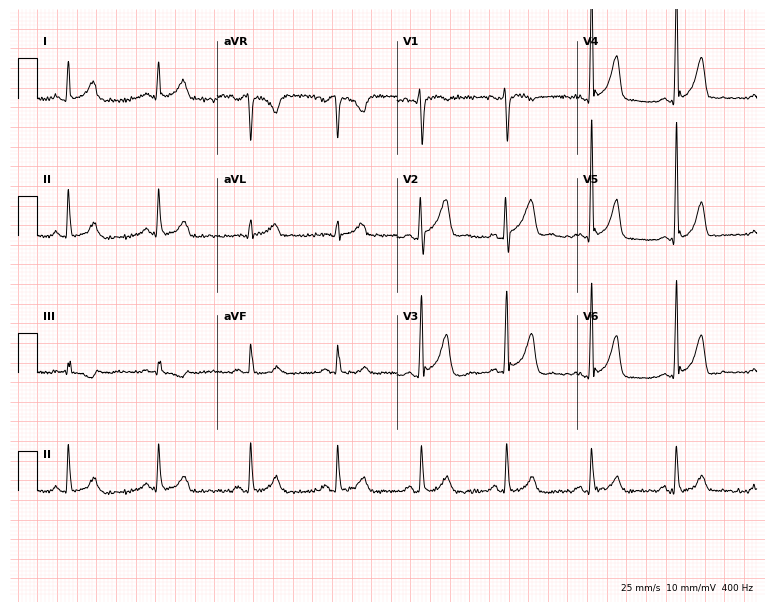
Resting 12-lead electrocardiogram. Patient: a man, 26 years old. None of these six findings is recorded: first-degree AV block, right bundle branch block, left bundle branch block, sinus bradycardia, atrial fibrillation, sinus tachycardia.